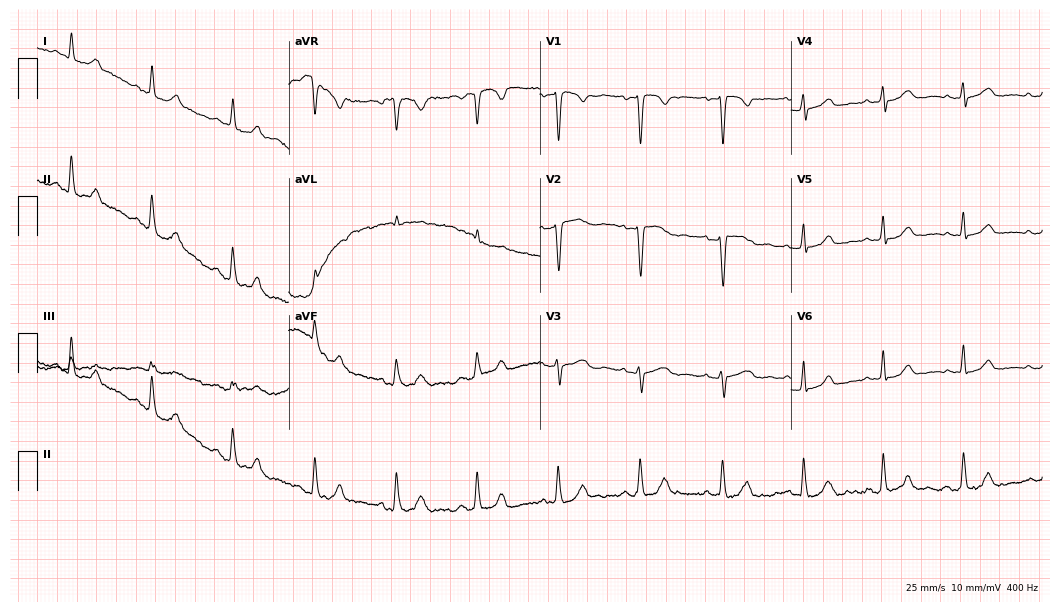
Electrocardiogram, a female patient, 52 years old. Overall reading on record: normal ECG.